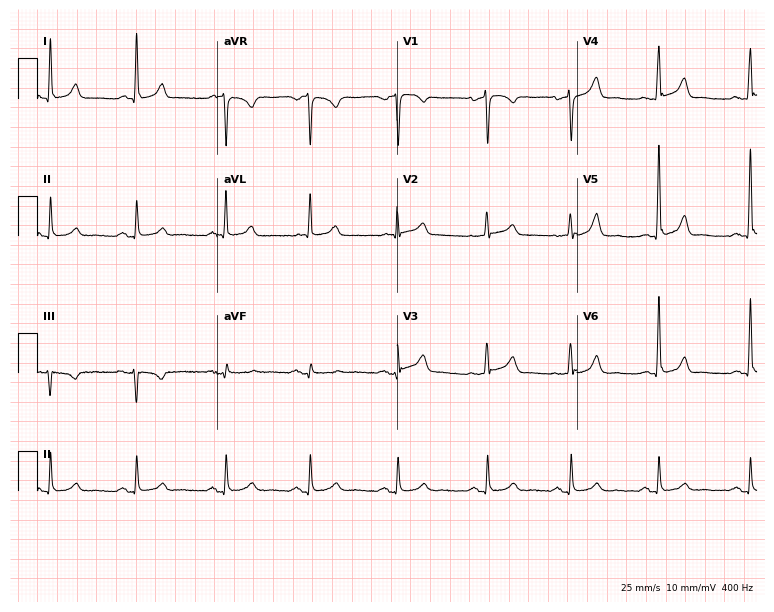
12-lead ECG from a 79-year-old female patient (7.3-second recording at 400 Hz). No first-degree AV block, right bundle branch block (RBBB), left bundle branch block (LBBB), sinus bradycardia, atrial fibrillation (AF) or sinus tachycardia recorded for this tracing.